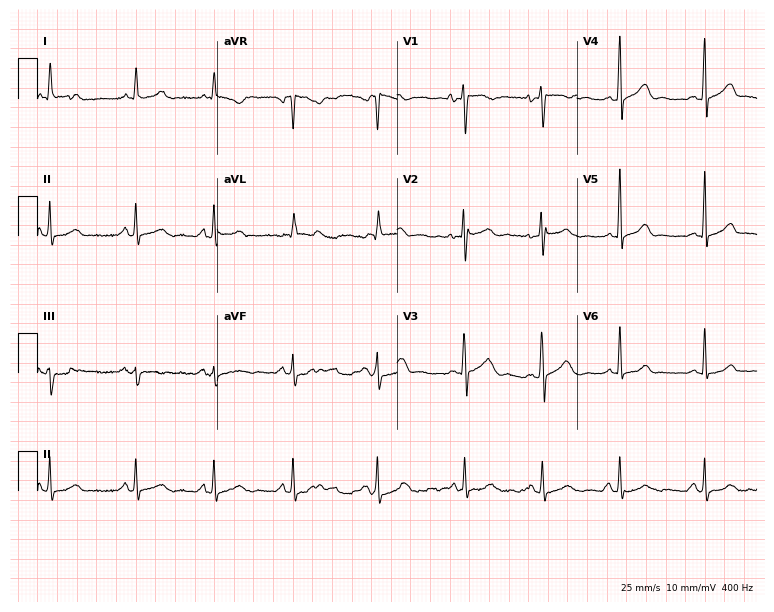
Resting 12-lead electrocardiogram. Patient: a female, 41 years old. Read as a normal ECG.